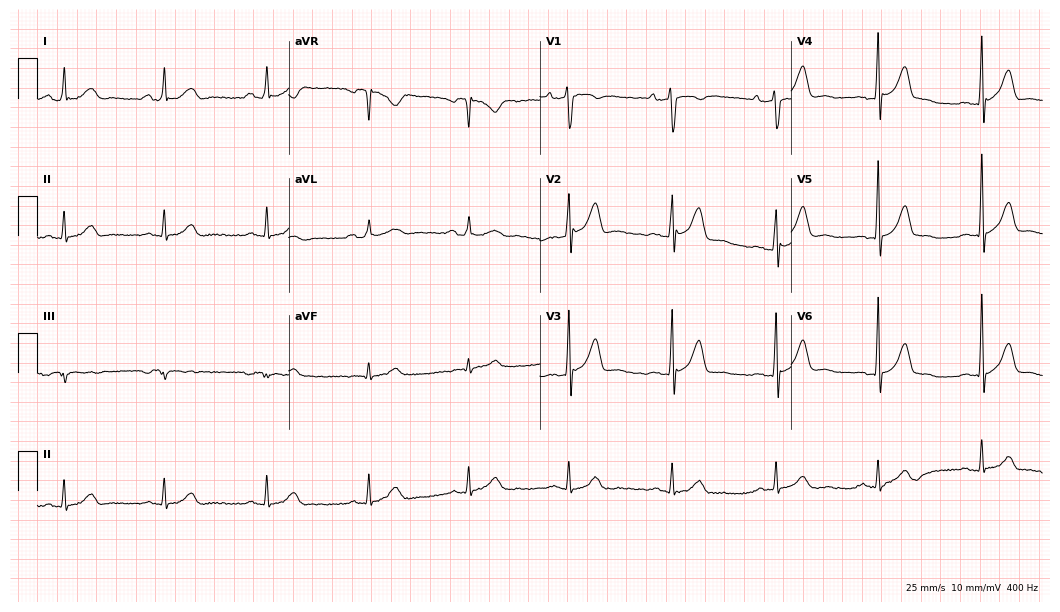
12-lead ECG from a male patient, 53 years old. Labelled as a normal ECG.